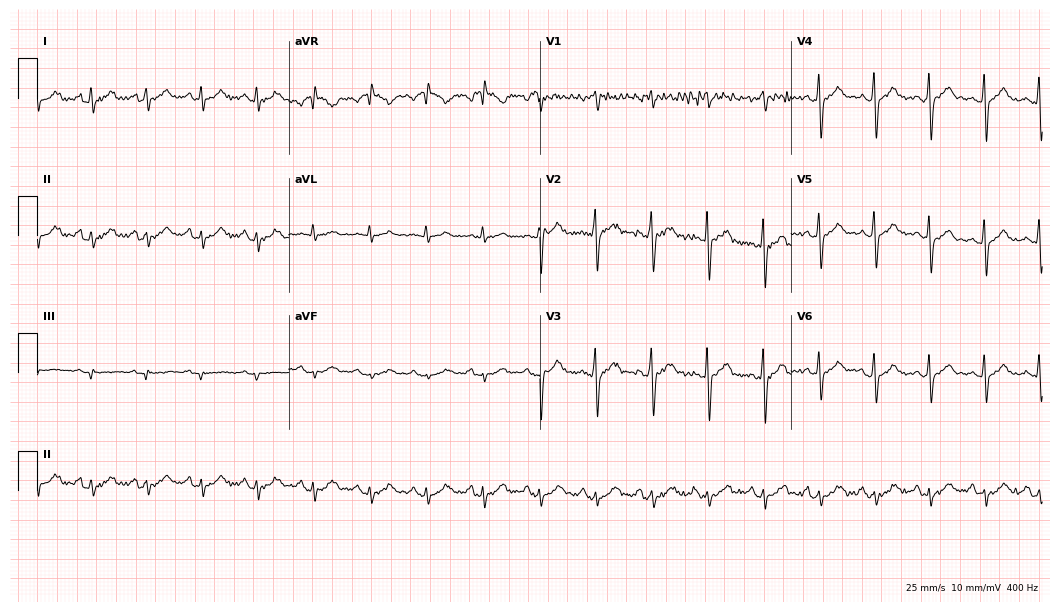
ECG (10.2-second recording at 400 Hz) — a male, 46 years old. Findings include sinus tachycardia (a sinus rate of 100 beats per minute or more).